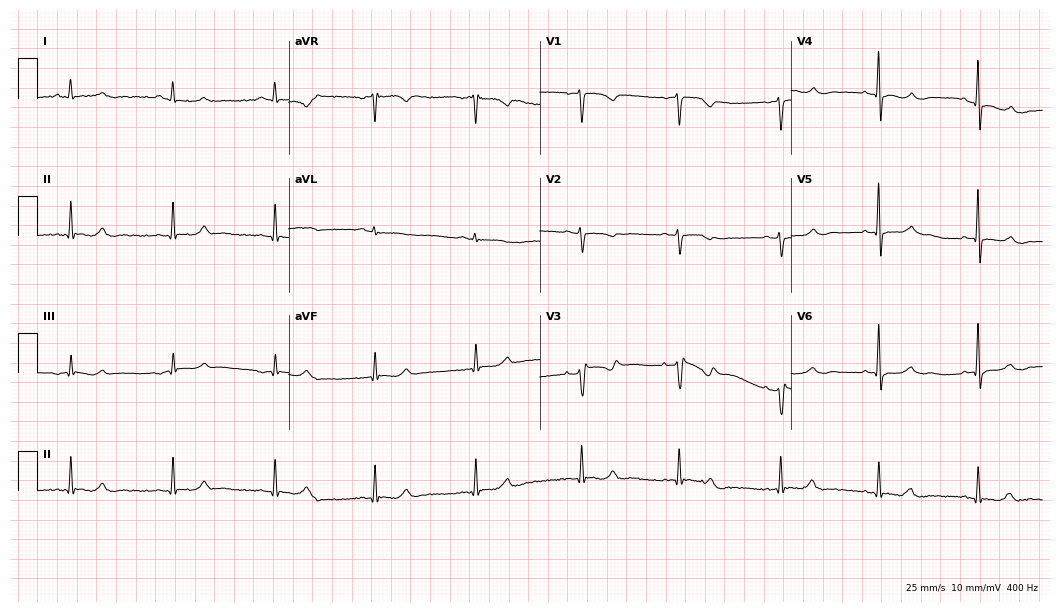
12-lead ECG (10.2-second recording at 400 Hz) from a female, 58 years old. Screened for six findings — first-degree AV block, right bundle branch block (RBBB), left bundle branch block (LBBB), sinus bradycardia, atrial fibrillation (AF), sinus tachycardia — none is recorded.